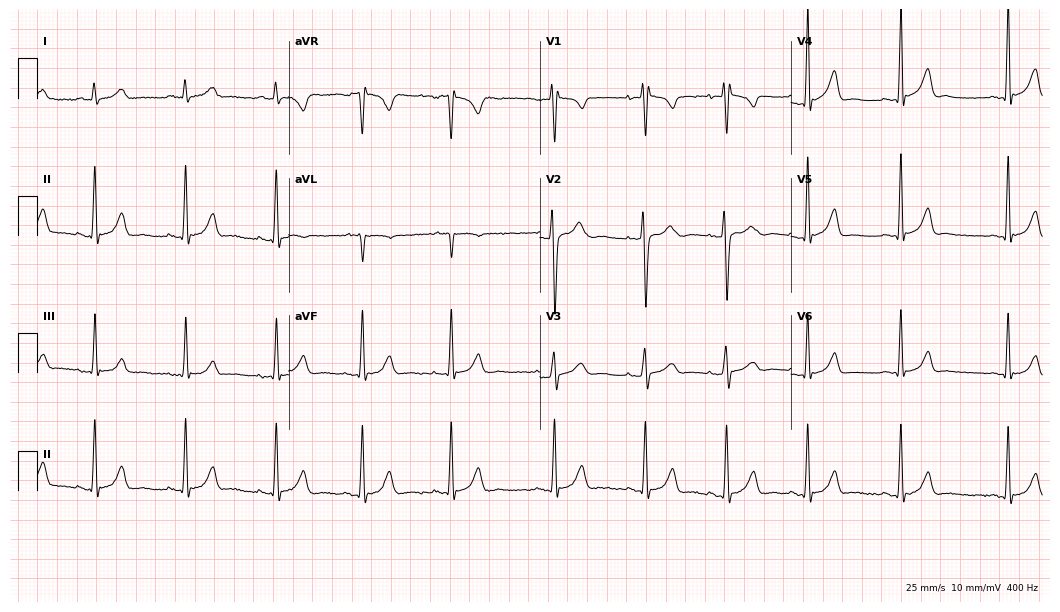
ECG — a woman, 18 years old. Screened for six findings — first-degree AV block, right bundle branch block (RBBB), left bundle branch block (LBBB), sinus bradycardia, atrial fibrillation (AF), sinus tachycardia — none is recorded.